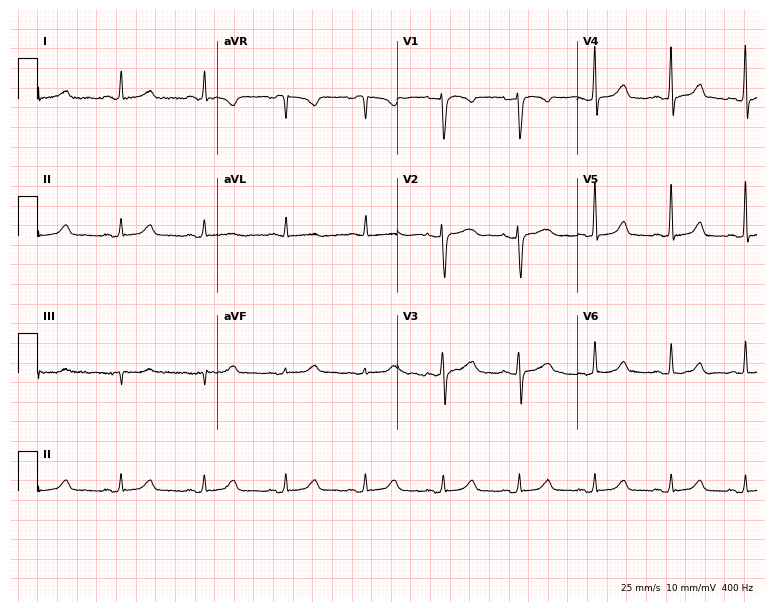
12-lead ECG from a 48-year-old female (7.3-second recording at 400 Hz). Recorded interpretation: within normal limits.